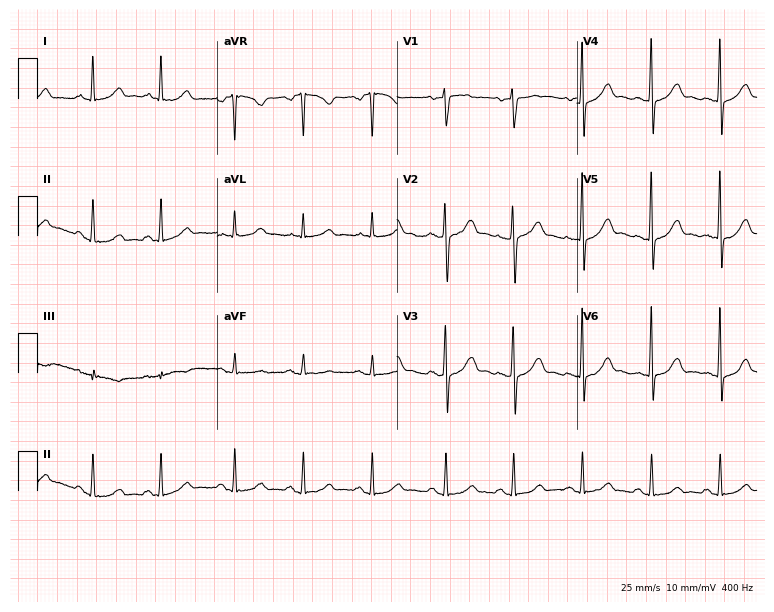
ECG — a 42-year-old female patient. Screened for six findings — first-degree AV block, right bundle branch block (RBBB), left bundle branch block (LBBB), sinus bradycardia, atrial fibrillation (AF), sinus tachycardia — none is recorded. Only these six findings were labelled.